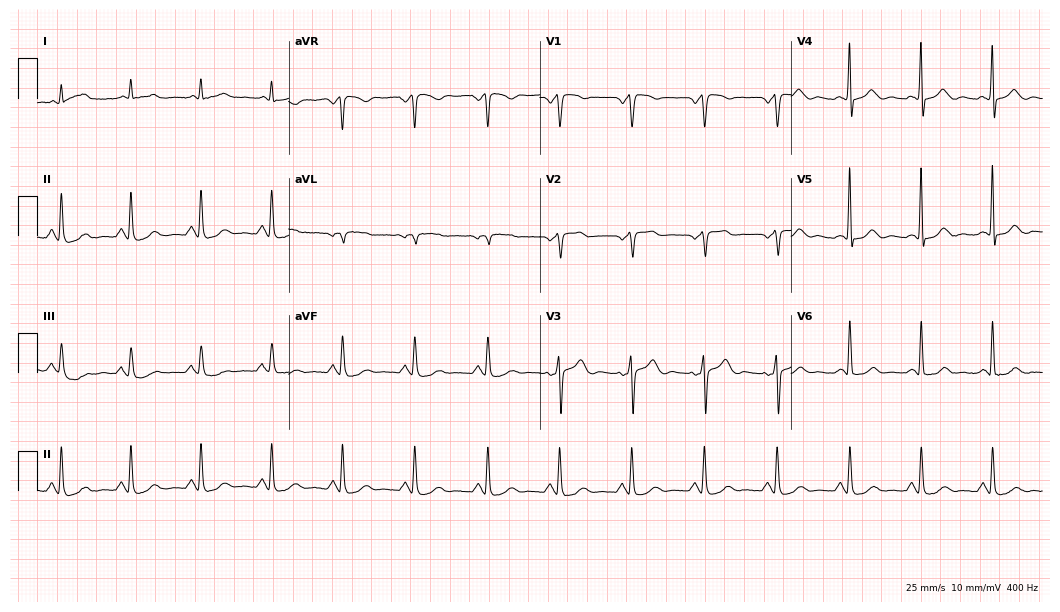
Resting 12-lead electrocardiogram. Patient: a 61-year-old man. None of these six findings is recorded: first-degree AV block, right bundle branch block (RBBB), left bundle branch block (LBBB), sinus bradycardia, atrial fibrillation (AF), sinus tachycardia. Only these six findings were labelled.